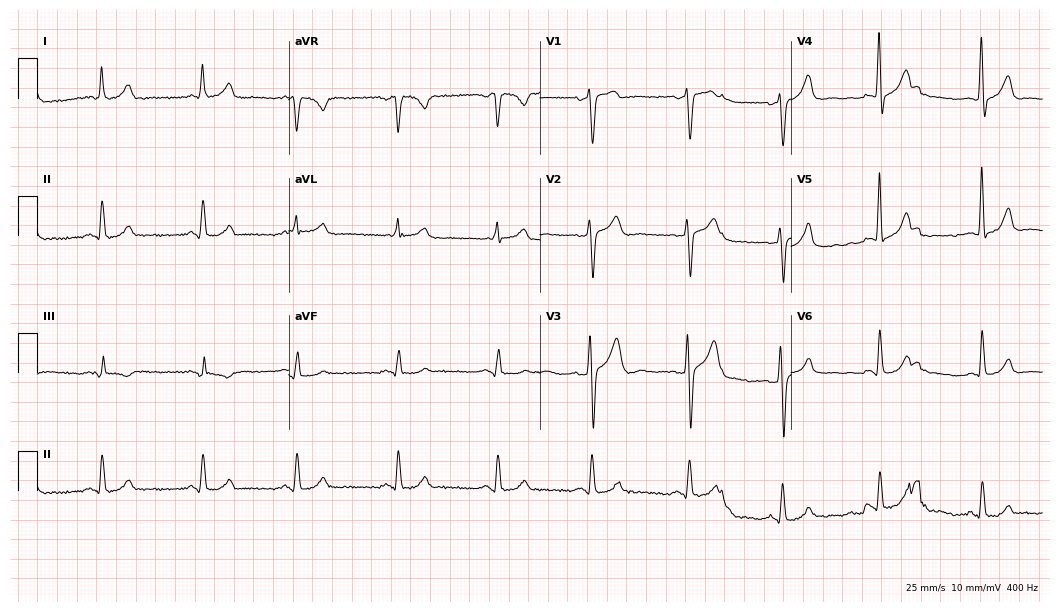
Standard 12-lead ECG recorded from a man, 39 years old. Read as a normal ECG.